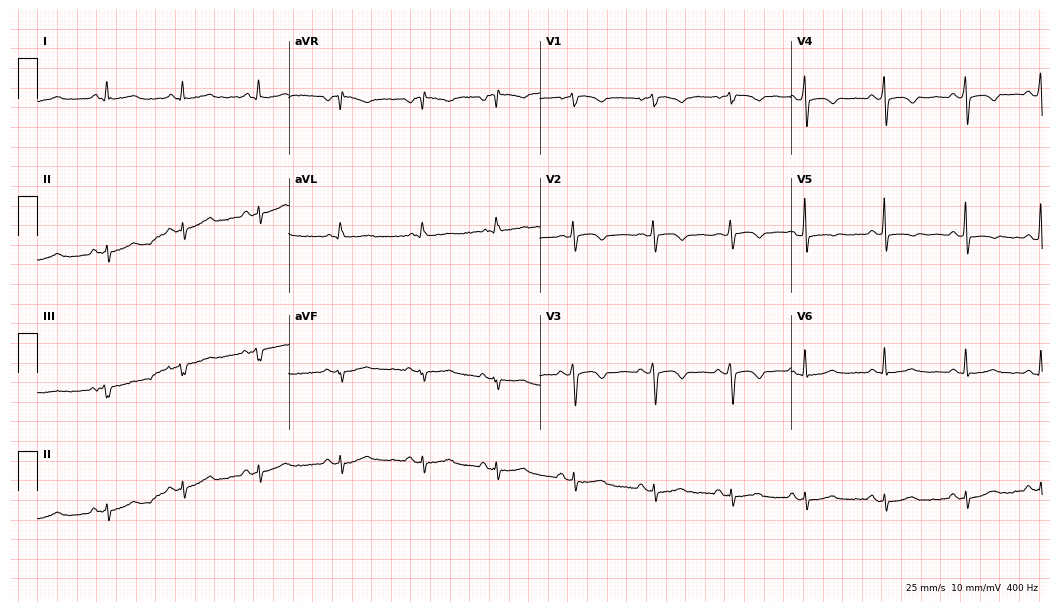
Electrocardiogram (10.2-second recording at 400 Hz), a woman, 49 years old. Of the six screened findings (first-degree AV block, right bundle branch block, left bundle branch block, sinus bradycardia, atrial fibrillation, sinus tachycardia), none is recorded.